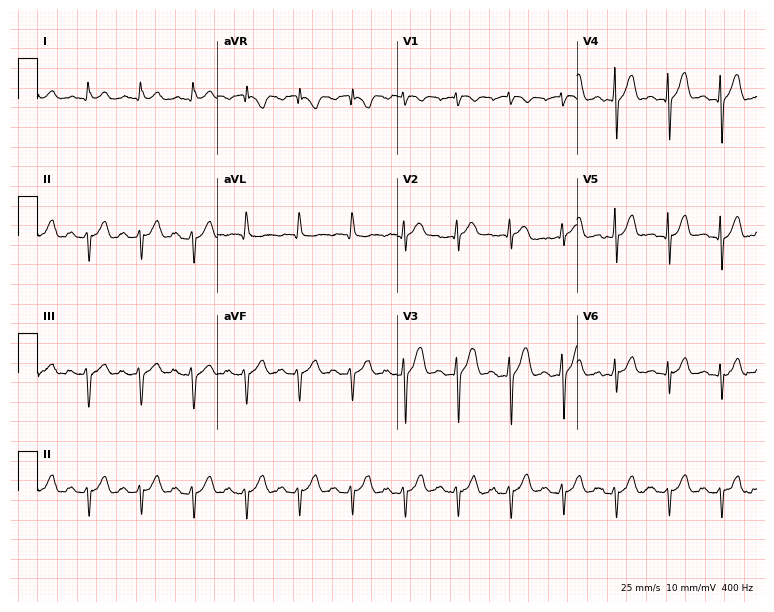
Resting 12-lead electrocardiogram (7.3-second recording at 400 Hz). Patient: a male, 75 years old. The tracing shows sinus tachycardia (a sinus rate of 100 beats per minute or more).